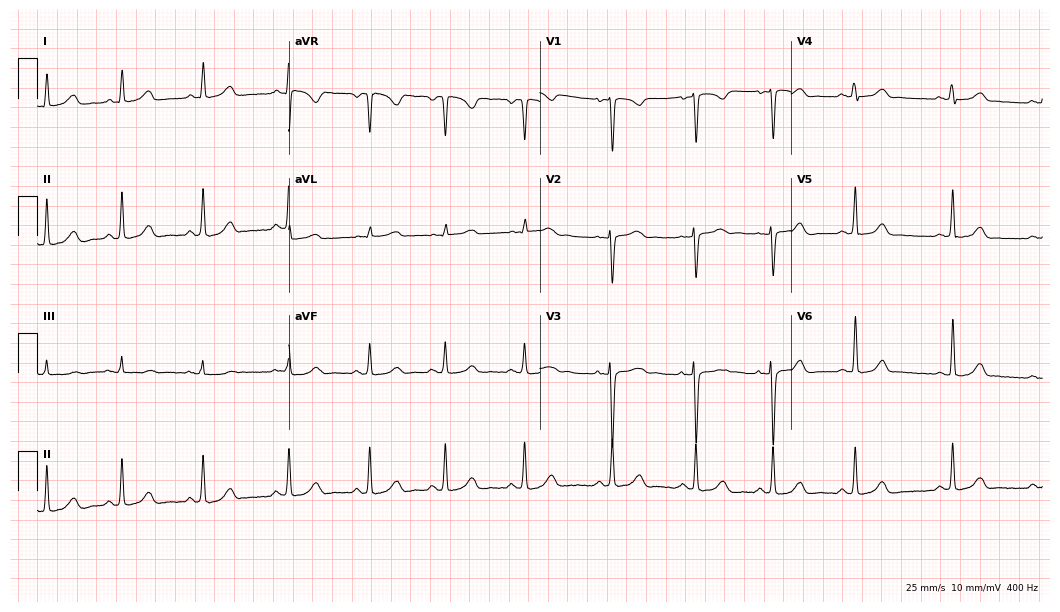
Standard 12-lead ECG recorded from a woman, 38 years old. Read as a normal ECG.